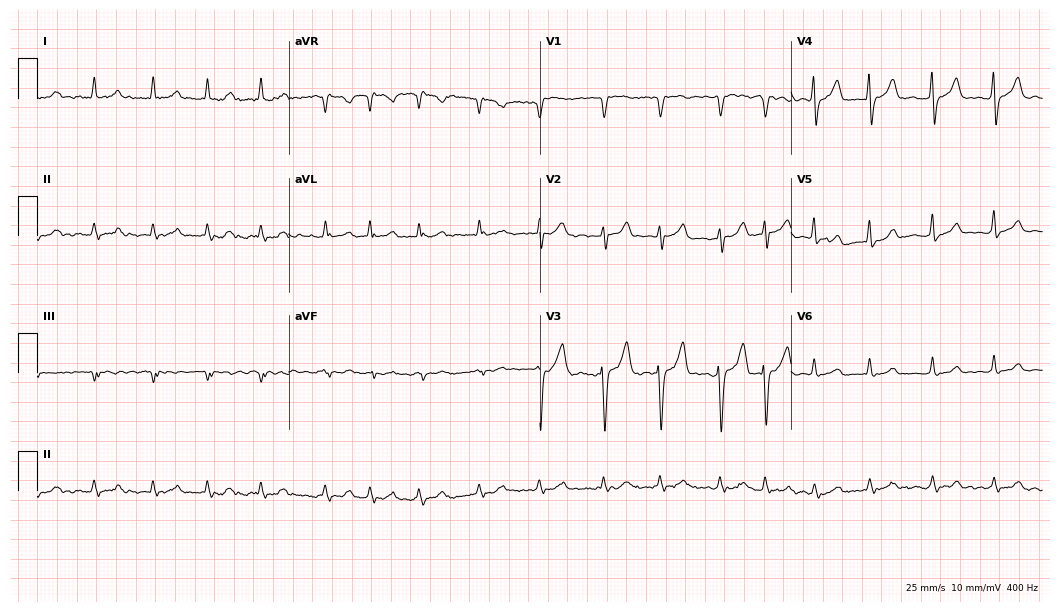
12-lead ECG (10.2-second recording at 400 Hz) from an 81-year-old woman. Screened for six findings — first-degree AV block, right bundle branch block, left bundle branch block, sinus bradycardia, atrial fibrillation, sinus tachycardia — none is recorded. Findings outside these six are not listed.